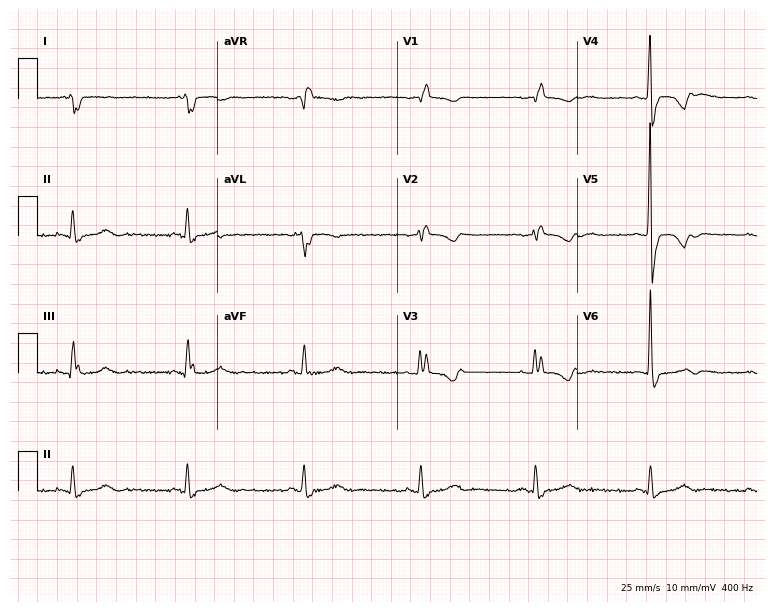
Standard 12-lead ECG recorded from a 66-year-old male. The tracing shows right bundle branch block.